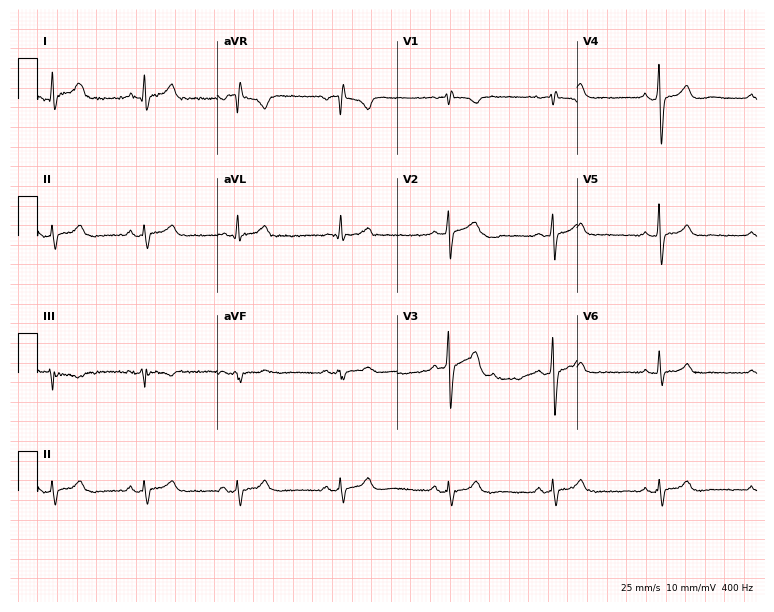
Electrocardiogram, a 39-year-old male patient. Of the six screened findings (first-degree AV block, right bundle branch block (RBBB), left bundle branch block (LBBB), sinus bradycardia, atrial fibrillation (AF), sinus tachycardia), none is recorded. Only these six findings were labelled.